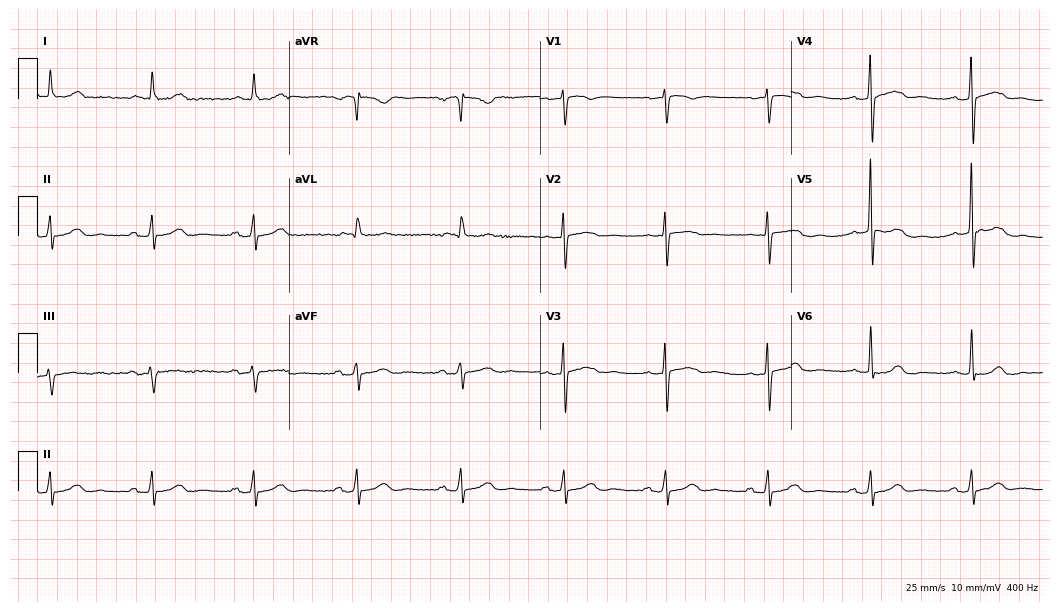
ECG — a male, 72 years old. Screened for six findings — first-degree AV block, right bundle branch block (RBBB), left bundle branch block (LBBB), sinus bradycardia, atrial fibrillation (AF), sinus tachycardia — none is recorded.